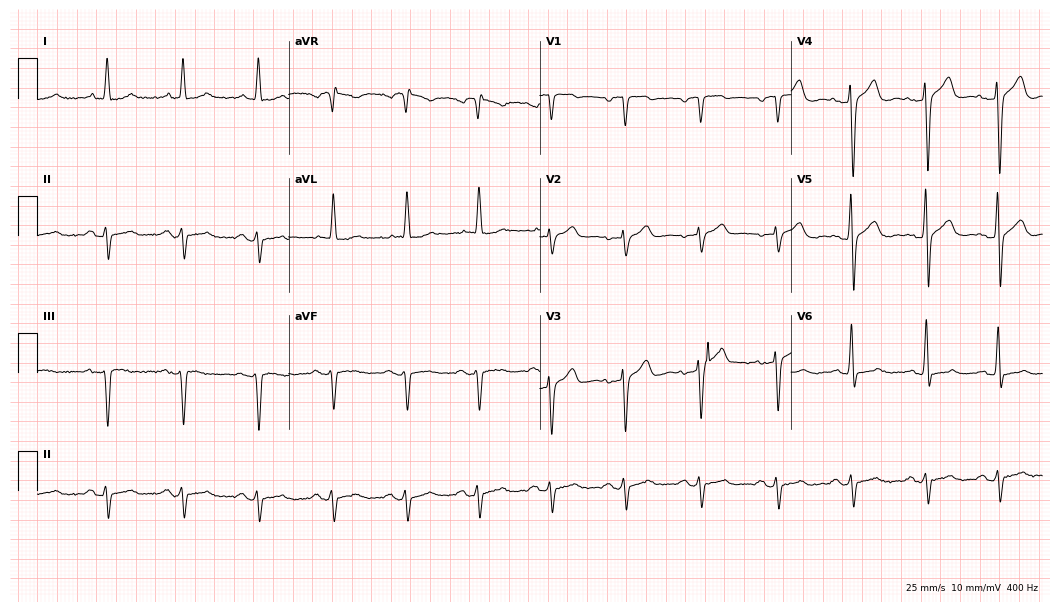
Standard 12-lead ECG recorded from a 79-year-old male patient (10.2-second recording at 400 Hz). None of these six findings is recorded: first-degree AV block, right bundle branch block, left bundle branch block, sinus bradycardia, atrial fibrillation, sinus tachycardia.